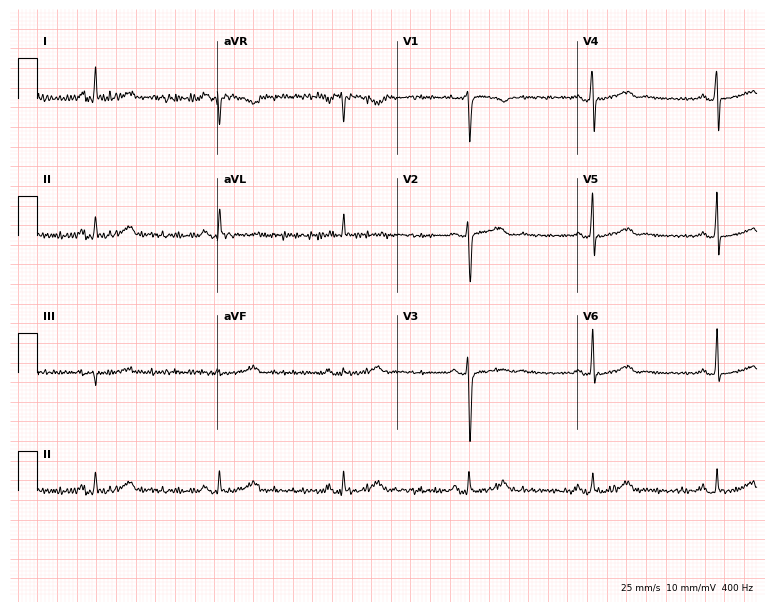
Standard 12-lead ECG recorded from a 42-year-old female. The tracing shows sinus bradycardia (a sinus rate of 50 beats per minute or less).